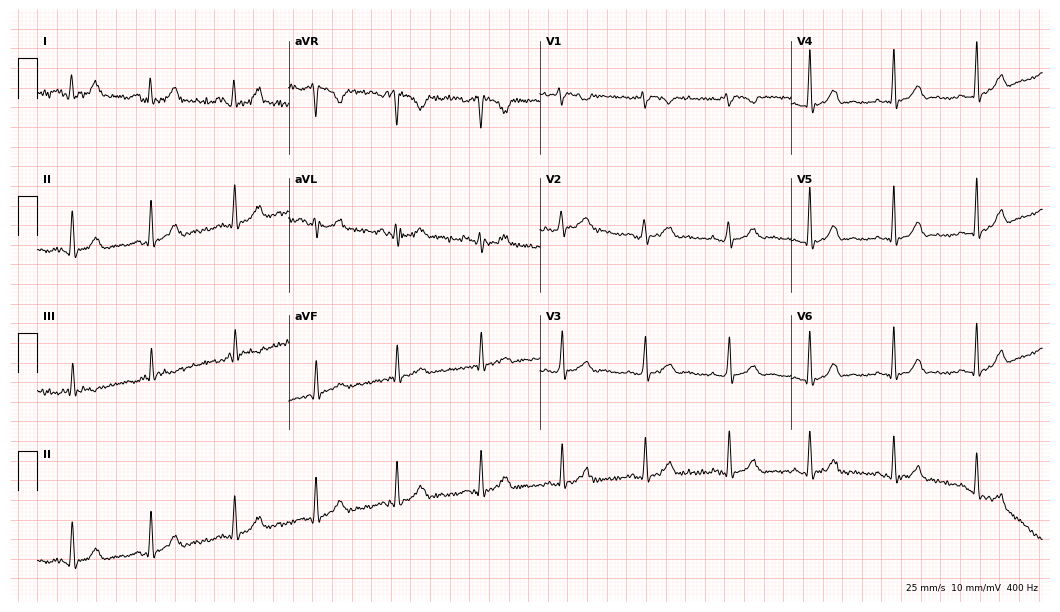
Resting 12-lead electrocardiogram (10.2-second recording at 400 Hz). Patient: a female, 34 years old. None of these six findings is recorded: first-degree AV block, right bundle branch block (RBBB), left bundle branch block (LBBB), sinus bradycardia, atrial fibrillation (AF), sinus tachycardia.